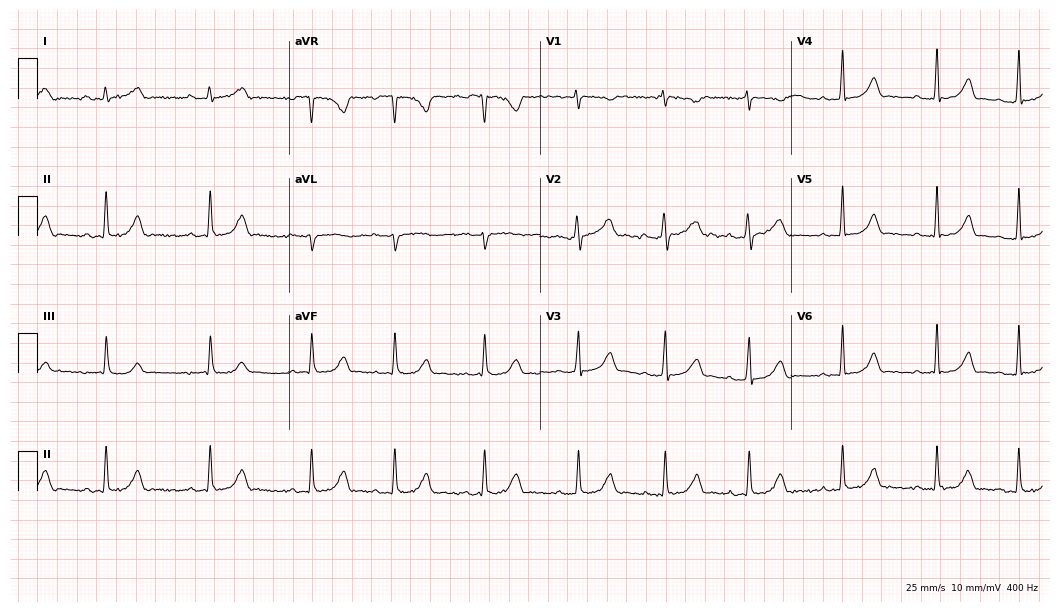
12-lead ECG from a 25-year-old woman. No first-degree AV block, right bundle branch block (RBBB), left bundle branch block (LBBB), sinus bradycardia, atrial fibrillation (AF) or sinus tachycardia recorded for this tracing. Only these six findings were labelled.